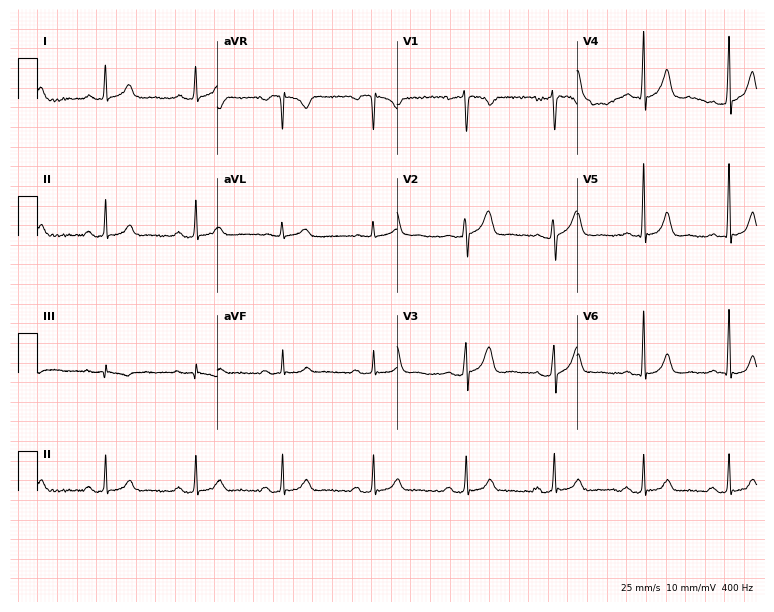
Standard 12-lead ECG recorded from a 34-year-old female. None of these six findings is recorded: first-degree AV block, right bundle branch block, left bundle branch block, sinus bradycardia, atrial fibrillation, sinus tachycardia.